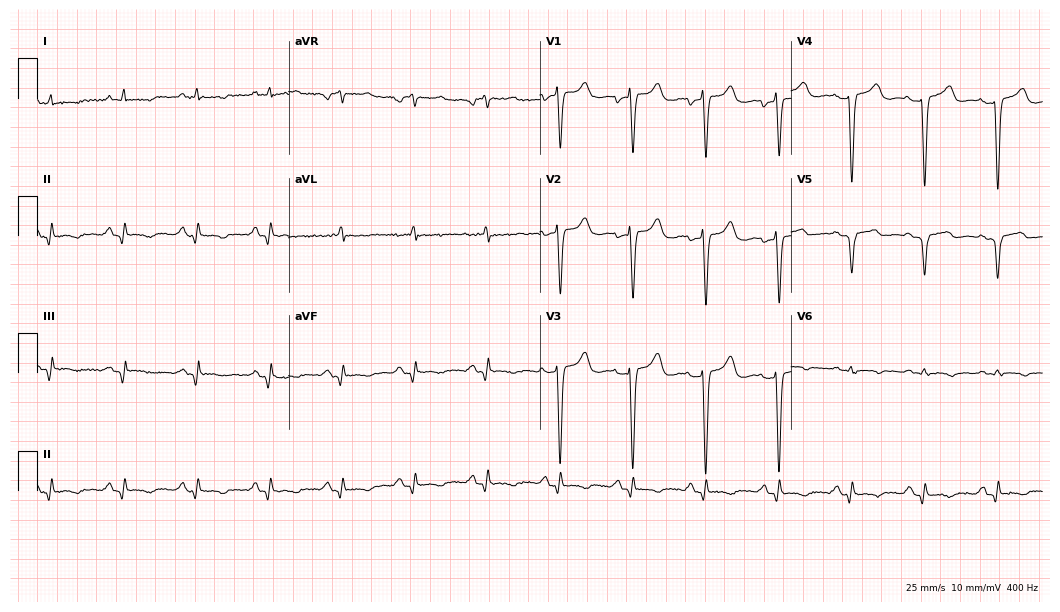
12-lead ECG from a man, 68 years old. Screened for six findings — first-degree AV block, right bundle branch block, left bundle branch block, sinus bradycardia, atrial fibrillation, sinus tachycardia — none is recorded.